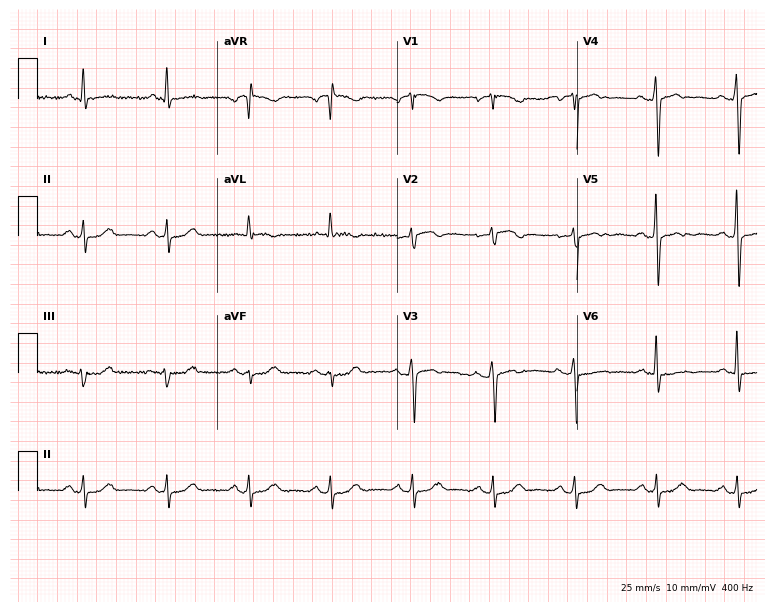
12-lead ECG from a female patient, 72 years old (7.3-second recording at 400 Hz). No first-degree AV block, right bundle branch block (RBBB), left bundle branch block (LBBB), sinus bradycardia, atrial fibrillation (AF) or sinus tachycardia recorded for this tracing. Other findings, if any, are not listed.